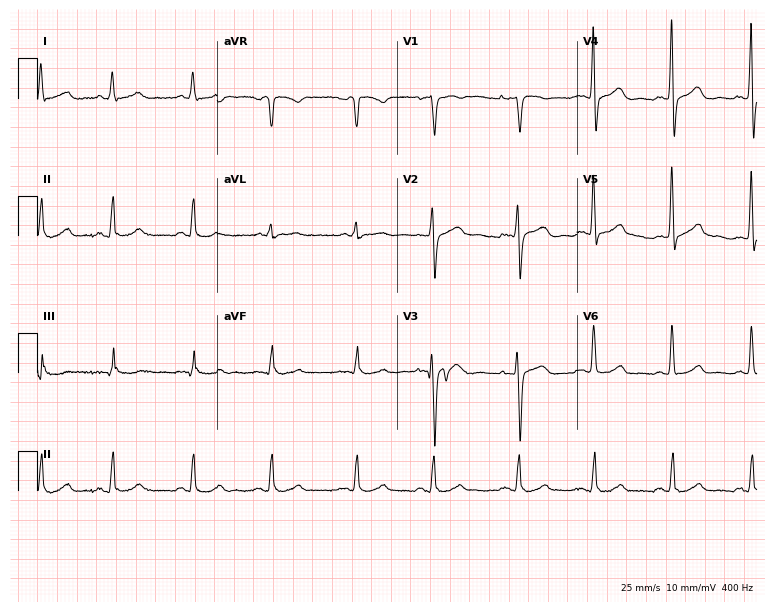
ECG — a female, 53 years old. Labelled as a normal ECG.